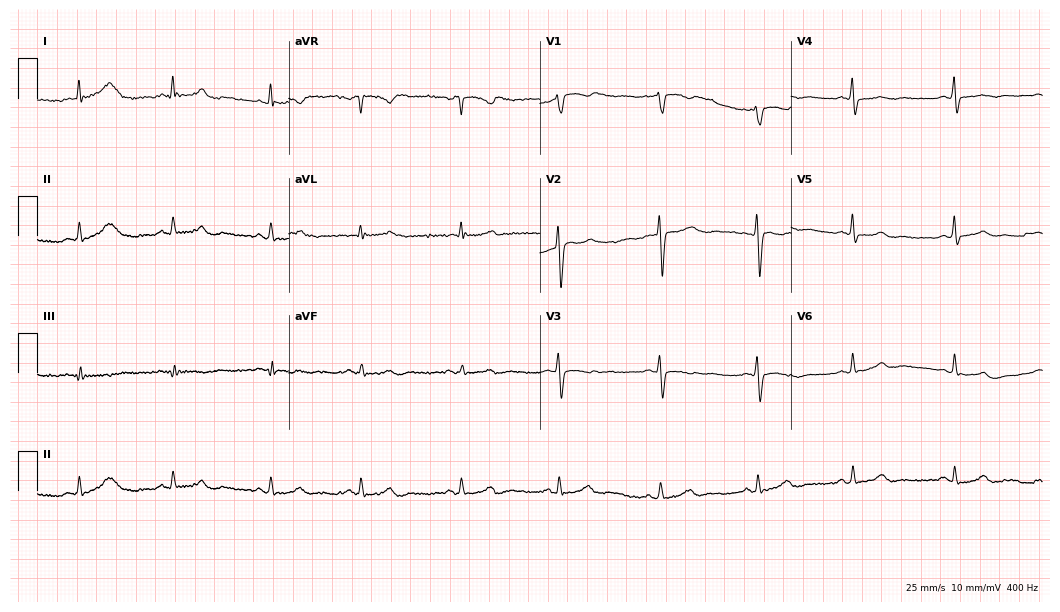
12-lead ECG from a 34-year-old female patient. Screened for six findings — first-degree AV block, right bundle branch block (RBBB), left bundle branch block (LBBB), sinus bradycardia, atrial fibrillation (AF), sinus tachycardia — none is recorded.